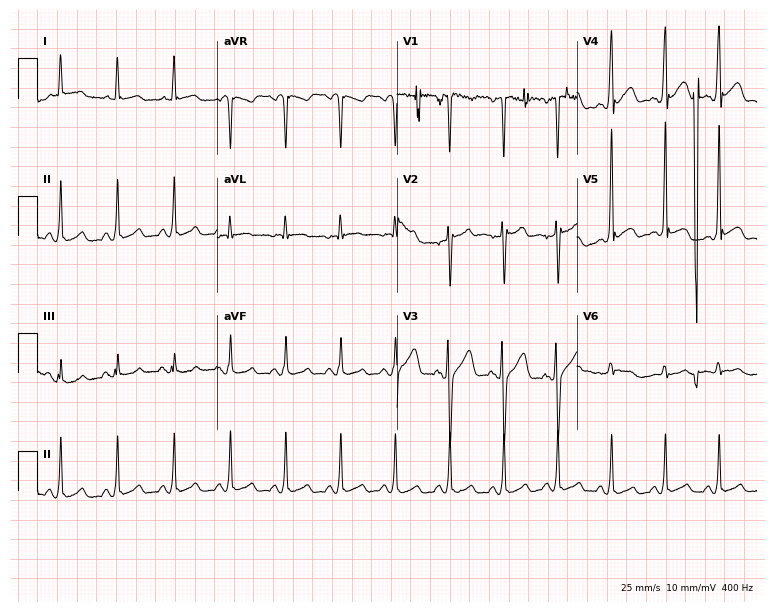
12-lead ECG from a male patient, 37 years old (7.3-second recording at 400 Hz). Shows sinus tachycardia (a sinus rate of 100 beats per minute or more).